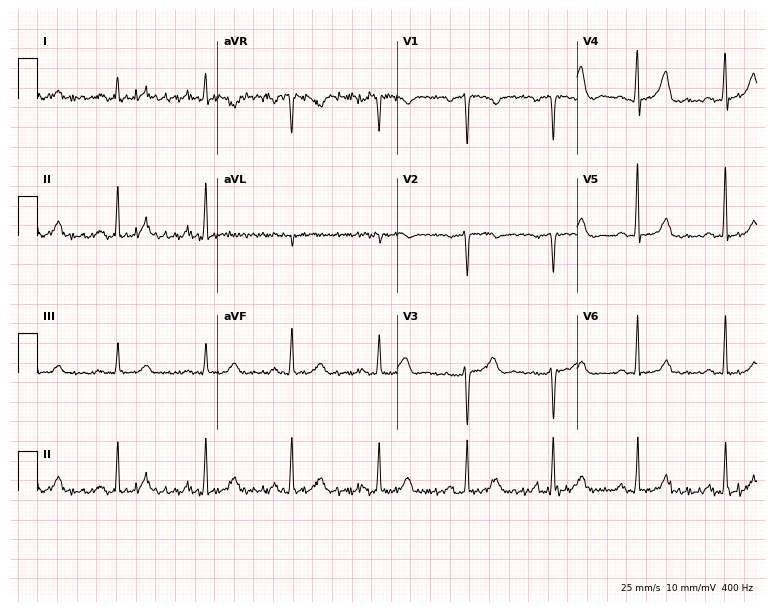
Resting 12-lead electrocardiogram. Patient: a woman, 44 years old. Read as a normal ECG.